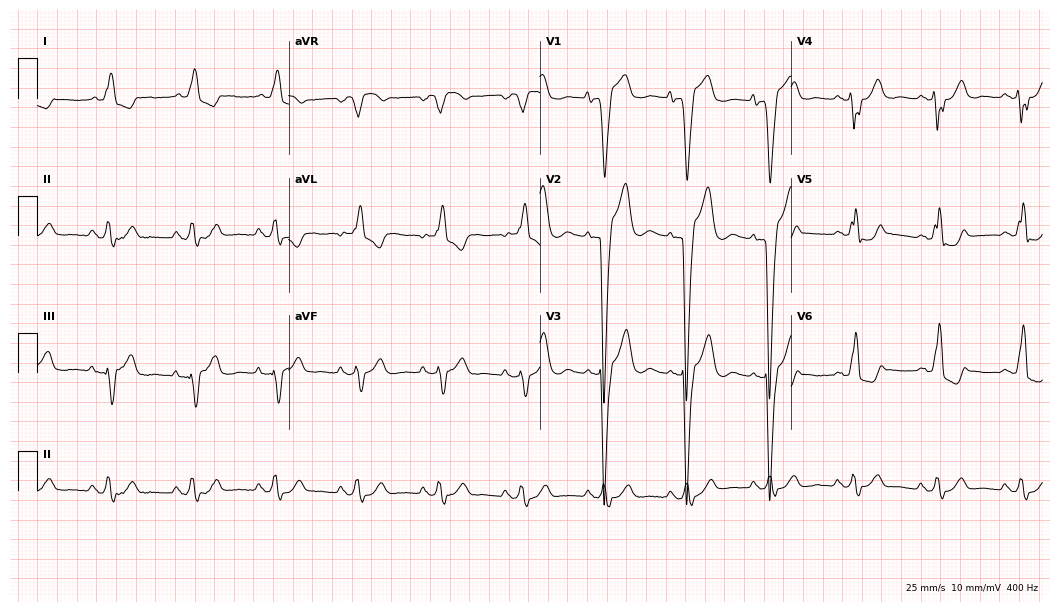
12-lead ECG from a 75-year-old female. No first-degree AV block, right bundle branch block (RBBB), left bundle branch block (LBBB), sinus bradycardia, atrial fibrillation (AF) or sinus tachycardia recorded for this tracing.